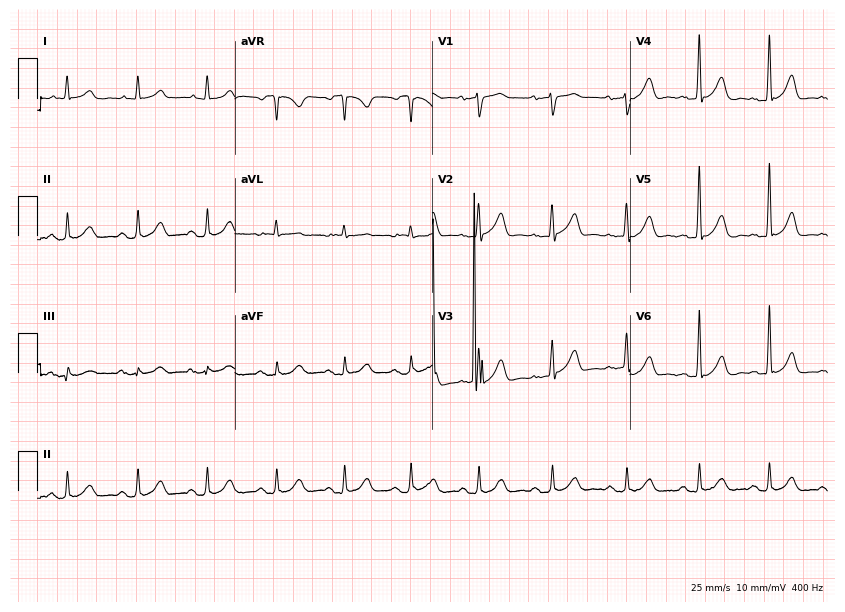
Electrocardiogram, a male, 76 years old. Of the six screened findings (first-degree AV block, right bundle branch block, left bundle branch block, sinus bradycardia, atrial fibrillation, sinus tachycardia), none is recorded. Only these six findings were labelled.